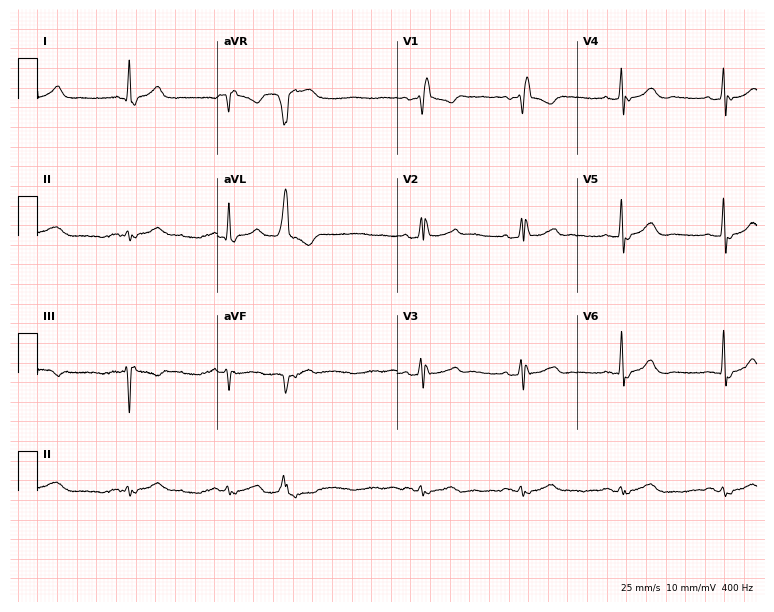
12-lead ECG from an 83-year-old man (7.3-second recording at 400 Hz). Shows right bundle branch block.